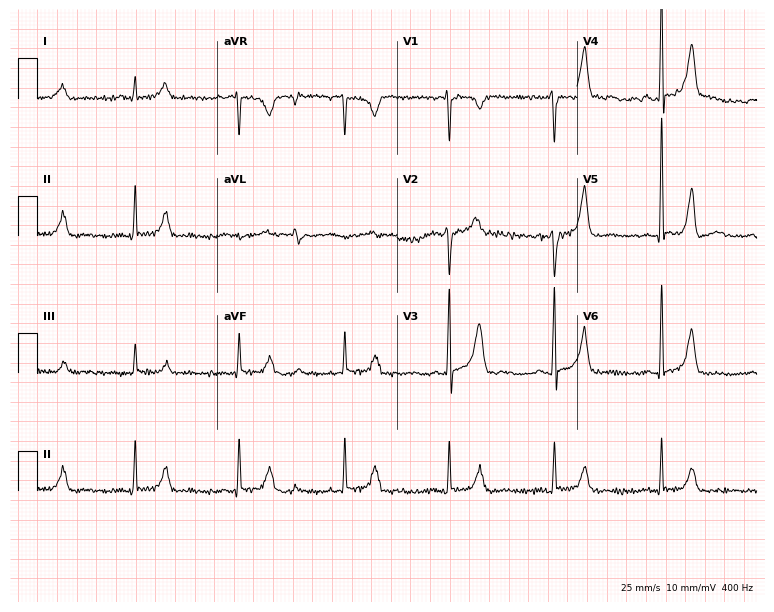
Standard 12-lead ECG recorded from a 52-year-old man (7.3-second recording at 400 Hz). None of these six findings is recorded: first-degree AV block, right bundle branch block (RBBB), left bundle branch block (LBBB), sinus bradycardia, atrial fibrillation (AF), sinus tachycardia.